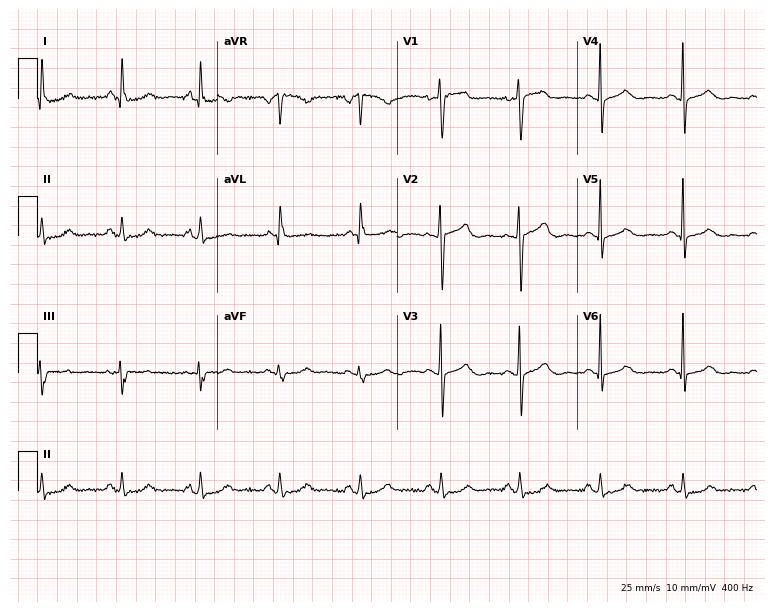
12-lead ECG from a woman, 58 years old. Screened for six findings — first-degree AV block, right bundle branch block (RBBB), left bundle branch block (LBBB), sinus bradycardia, atrial fibrillation (AF), sinus tachycardia — none is recorded.